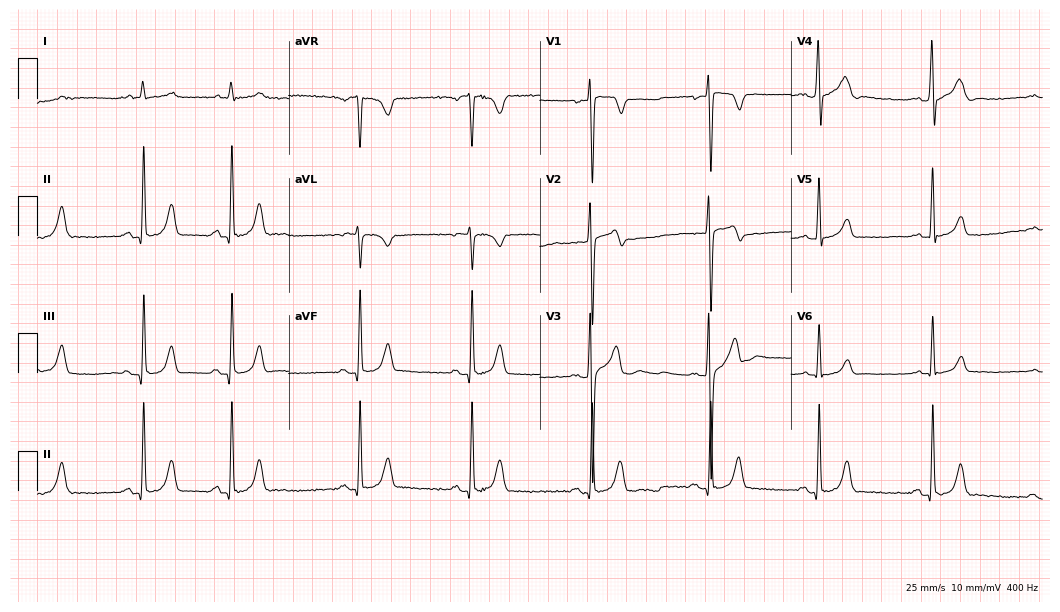
Standard 12-lead ECG recorded from a male patient, 21 years old. Read as a normal ECG.